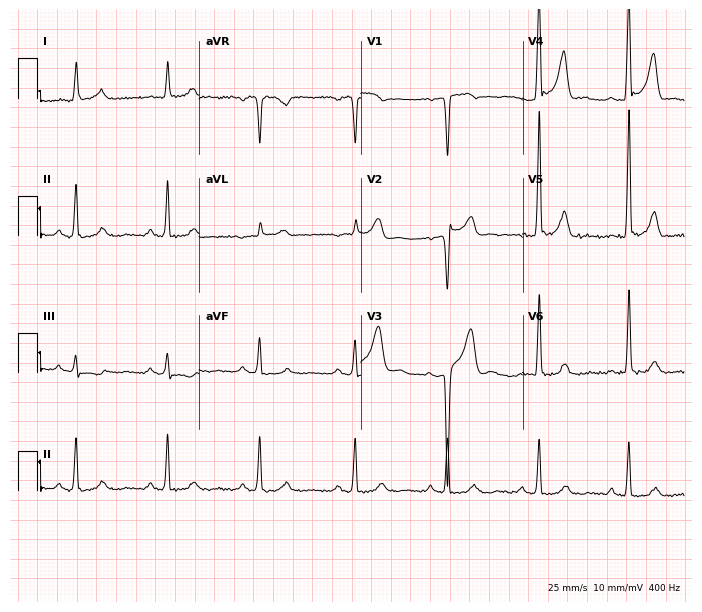
12-lead ECG from a 49-year-old man. Recorded interpretation: within normal limits.